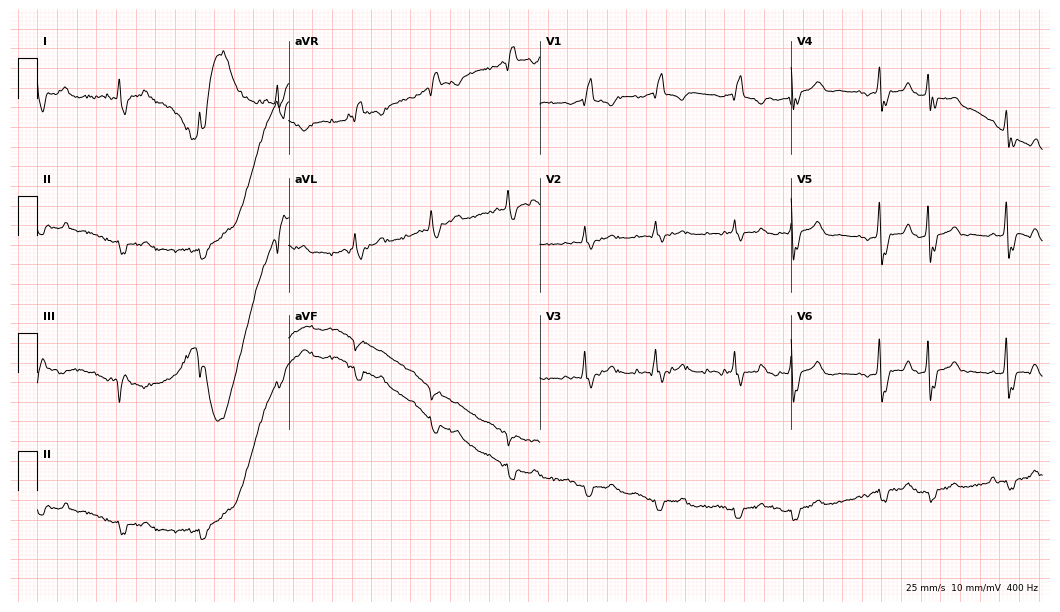
12-lead ECG from a 77-year-old man. Shows right bundle branch block.